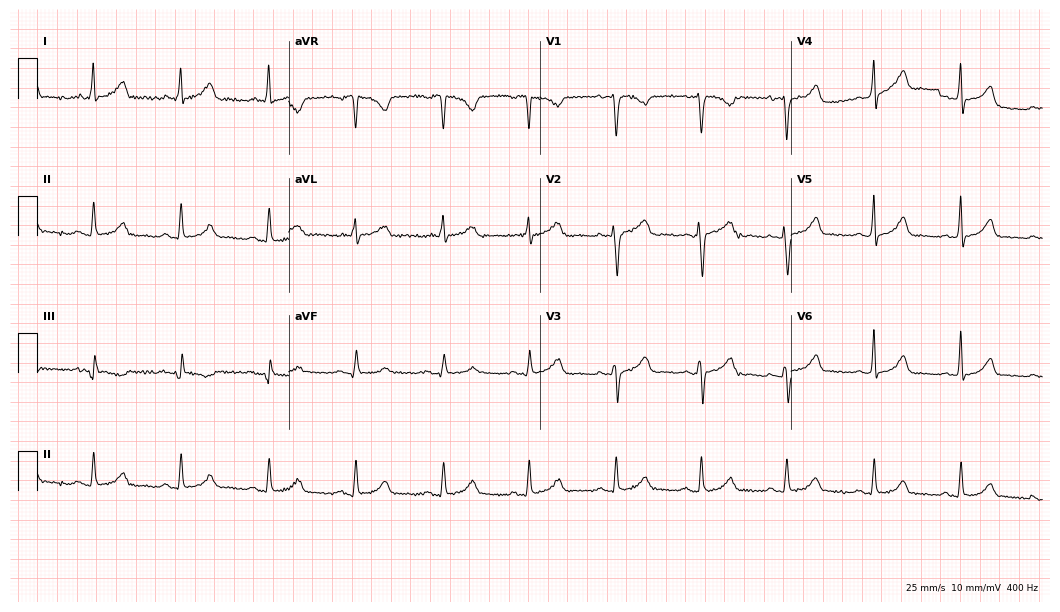
Standard 12-lead ECG recorded from a woman, 58 years old. Read as a normal ECG.